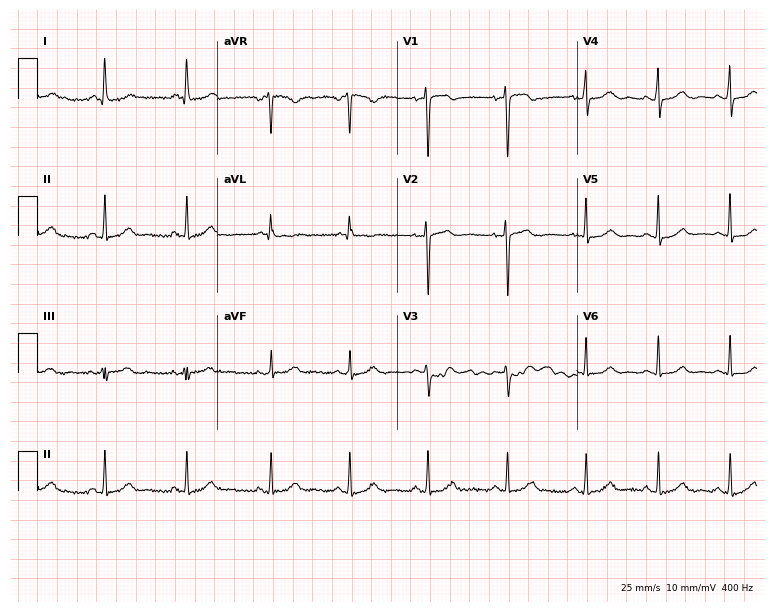
Standard 12-lead ECG recorded from a 37-year-old female (7.3-second recording at 400 Hz). None of these six findings is recorded: first-degree AV block, right bundle branch block (RBBB), left bundle branch block (LBBB), sinus bradycardia, atrial fibrillation (AF), sinus tachycardia. Only these six findings were labelled.